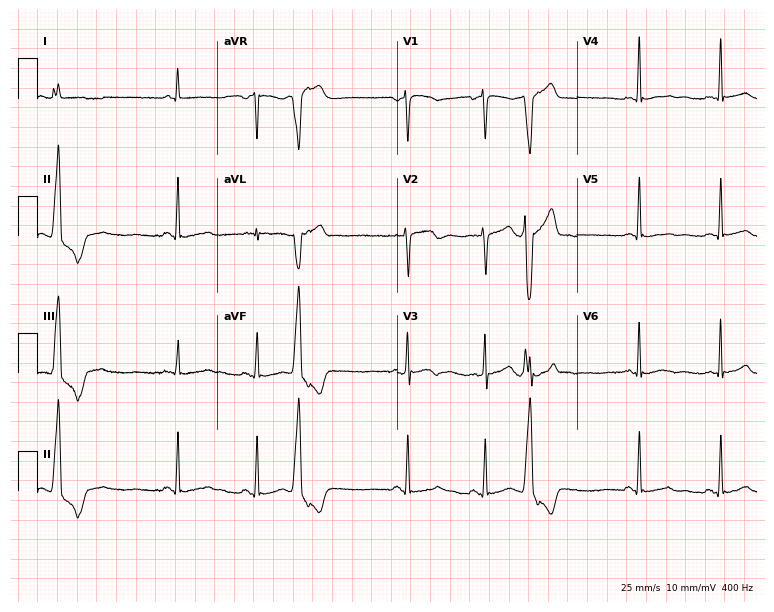
Standard 12-lead ECG recorded from a 44-year-old woman. None of these six findings is recorded: first-degree AV block, right bundle branch block (RBBB), left bundle branch block (LBBB), sinus bradycardia, atrial fibrillation (AF), sinus tachycardia.